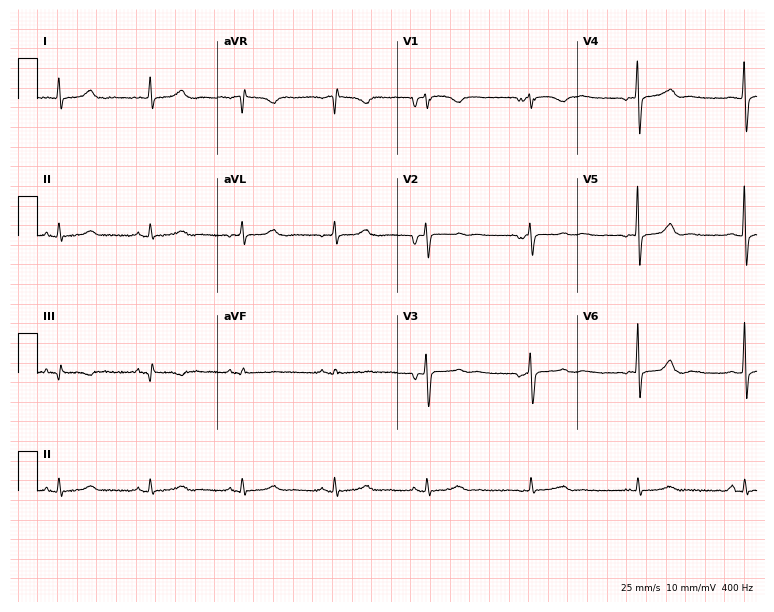
Electrocardiogram, a woman, 33 years old. Of the six screened findings (first-degree AV block, right bundle branch block (RBBB), left bundle branch block (LBBB), sinus bradycardia, atrial fibrillation (AF), sinus tachycardia), none is recorded. Findings outside these six are not listed.